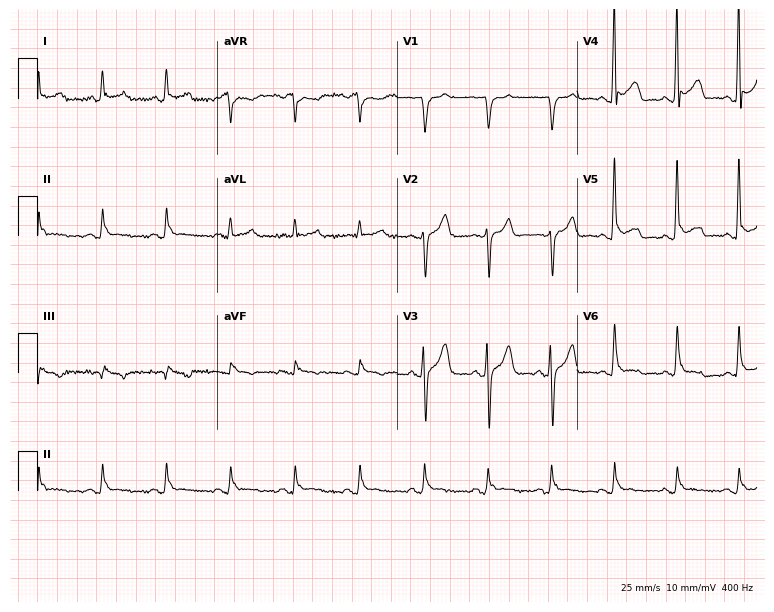
Resting 12-lead electrocardiogram (7.3-second recording at 400 Hz). Patient: a male, 56 years old. None of these six findings is recorded: first-degree AV block, right bundle branch block, left bundle branch block, sinus bradycardia, atrial fibrillation, sinus tachycardia.